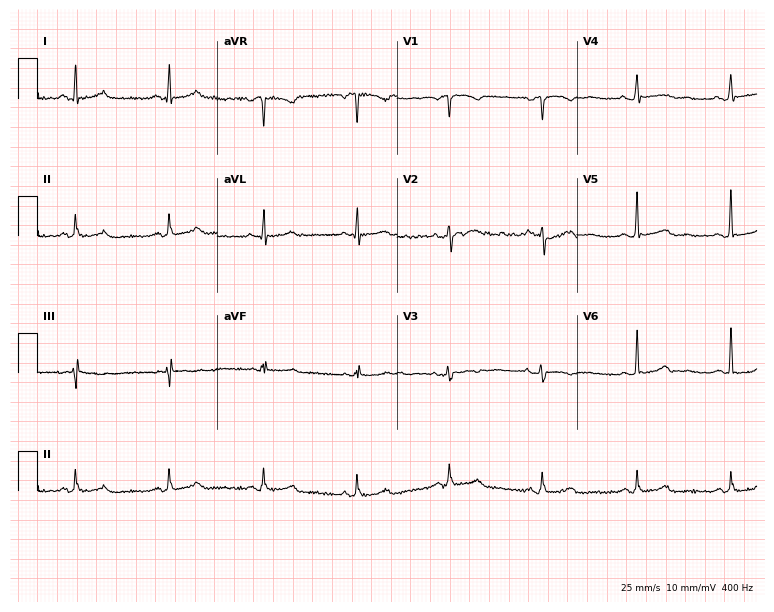
Electrocardiogram, a 50-year-old female patient. Of the six screened findings (first-degree AV block, right bundle branch block, left bundle branch block, sinus bradycardia, atrial fibrillation, sinus tachycardia), none is recorded. Findings outside these six are not listed.